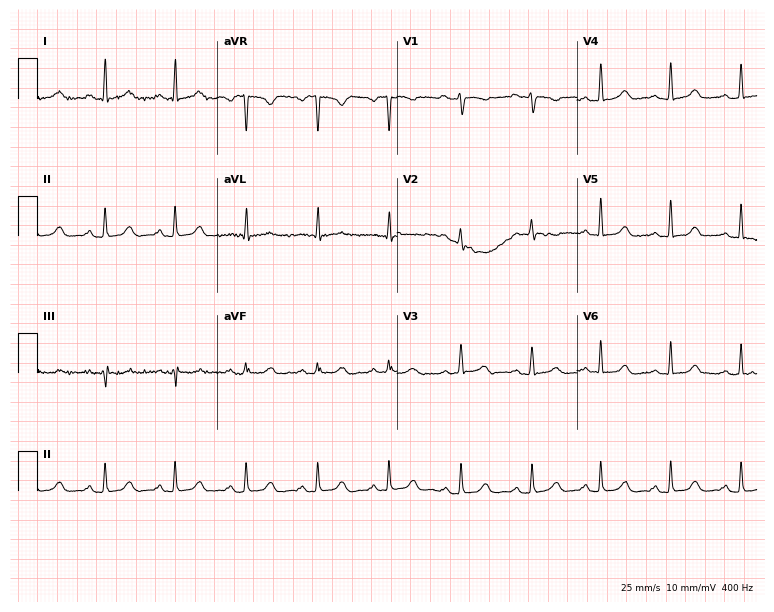
Standard 12-lead ECG recorded from a female, 35 years old (7.3-second recording at 400 Hz). Read as a normal ECG.